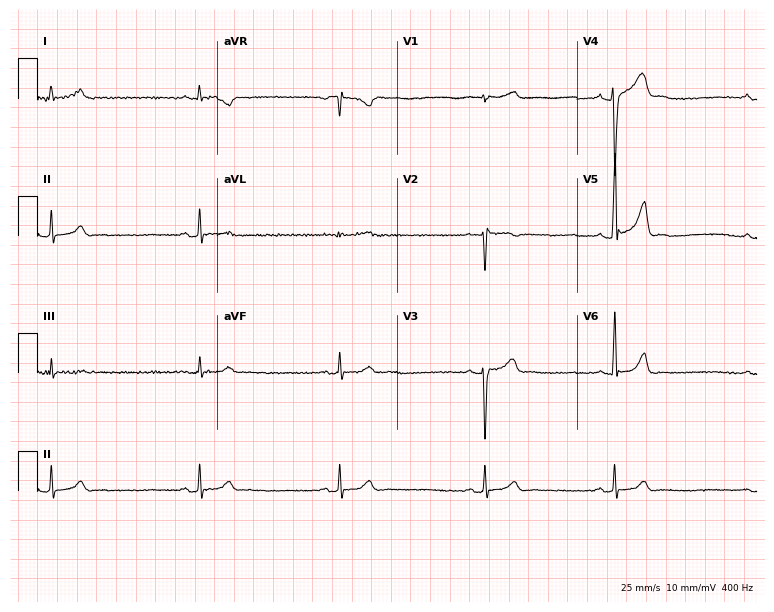
12-lead ECG from a 30-year-old man. Findings include sinus bradycardia (a sinus rate of 50 beats per minute or less).